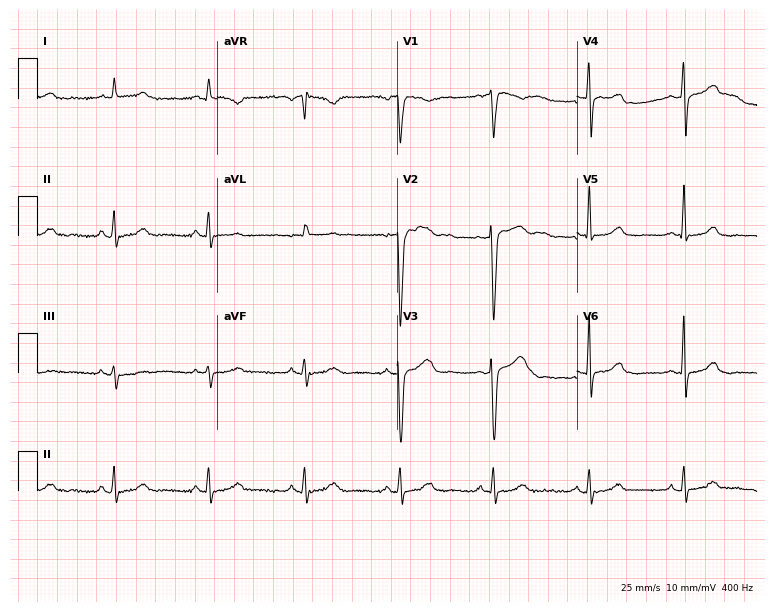
Resting 12-lead electrocardiogram. Patient: a female, 66 years old. None of these six findings is recorded: first-degree AV block, right bundle branch block, left bundle branch block, sinus bradycardia, atrial fibrillation, sinus tachycardia.